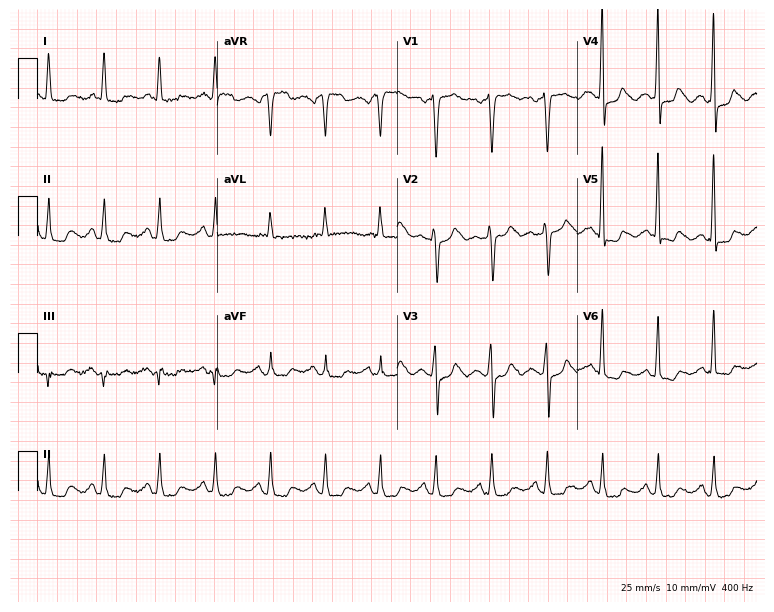
ECG (7.3-second recording at 400 Hz) — a female, 78 years old. Screened for six findings — first-degree AV block, right bundle branch block (RBBB), left bundle branch block (LBBB), sinus bradycardia, atrial fibrillation (AF), sinus tachycardia — none is recorded.